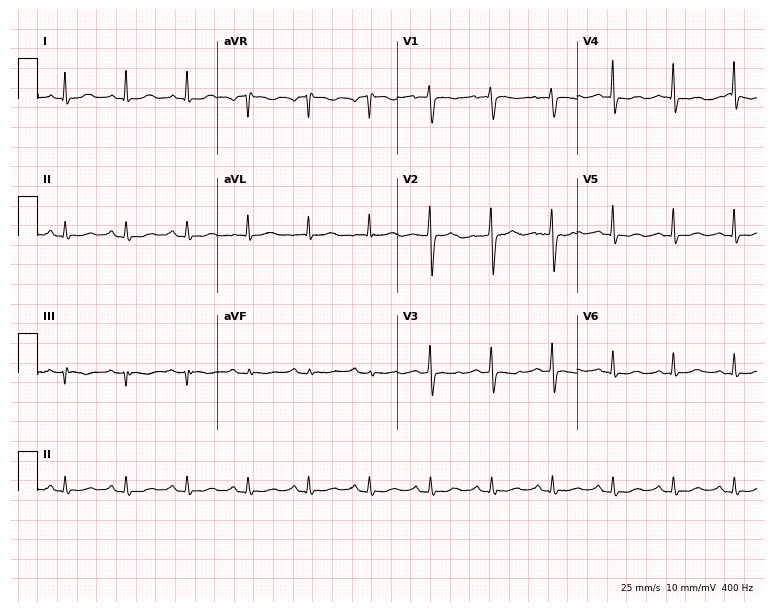
12-lead ECG (7.3-second recording at 400 Hz) from a woman, 72 years old. Screened for six findings — first-degree AV block, right bundle branch block, left bundle branch block, sinus bradycardia, atrial fibrillation, sinus tachycardia — none is recorded.